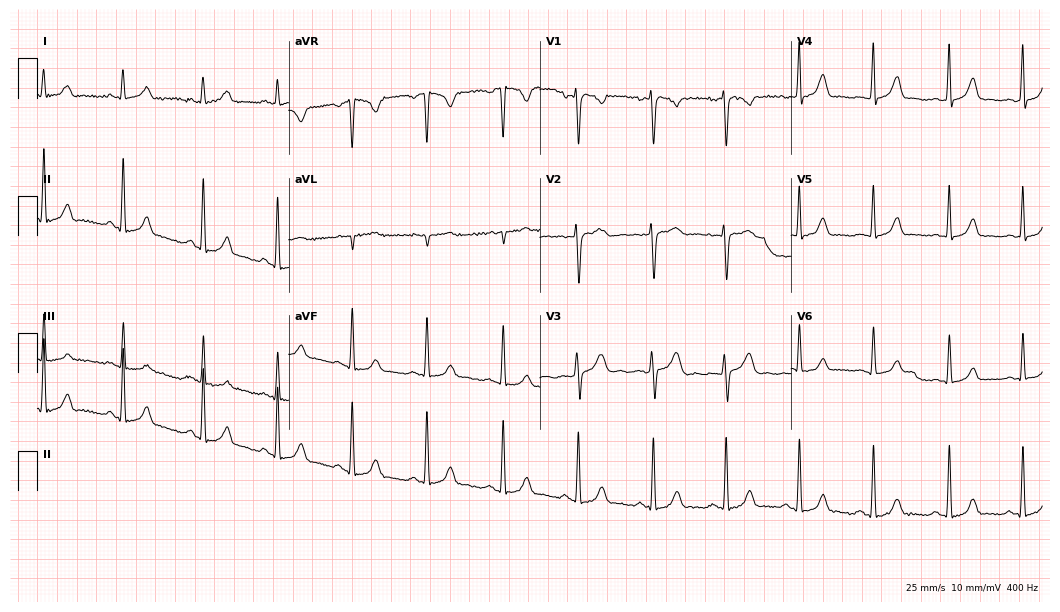
12-lead ECG from a female, 32 years old. Labelled as a normal ECG.